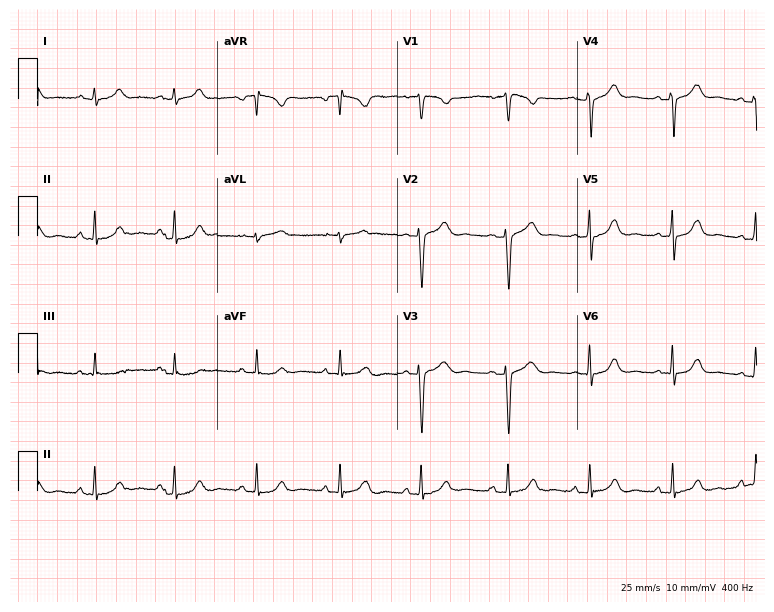
Electrocardiogram, a female, 37 years old. Overall reading on record: normal ECG.